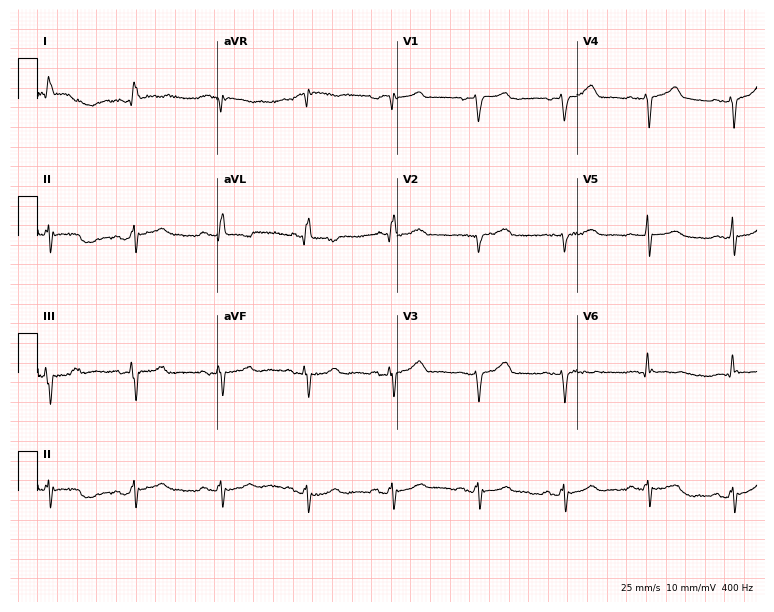
Electrocardiogram, a 53-year-old female patient. Of the six screened findings (first-degree AV block, right bundle branch block, left bundle branch block, sinus bradycardia, atrial fibrillation, sinus tachycardia), none is recorded.